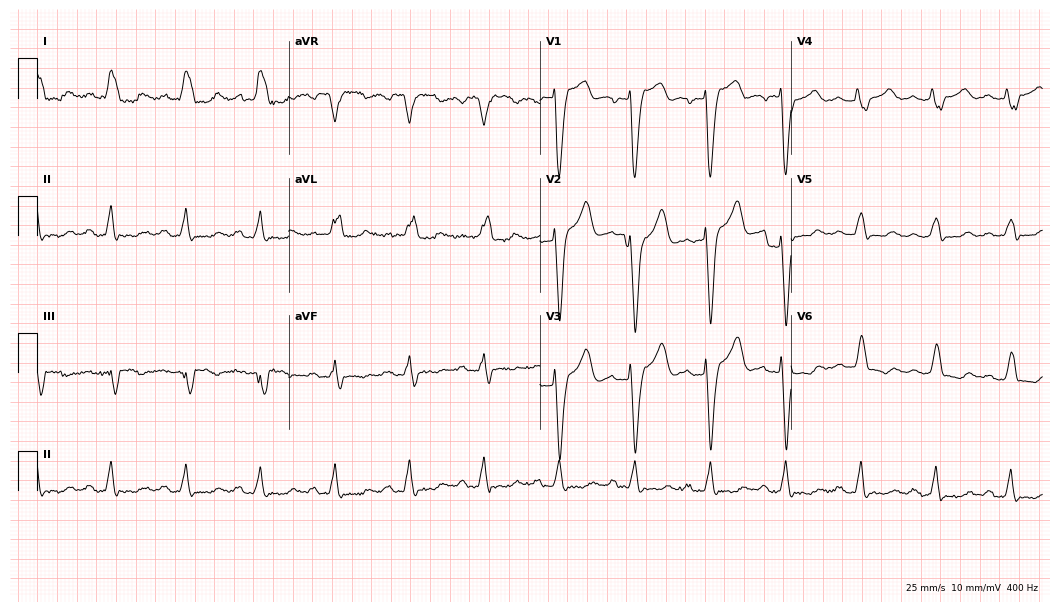
12-lead ECG (10.2-second recording at 400 Hz) from a woman, 77 years old. Findings include left bundle branch block.